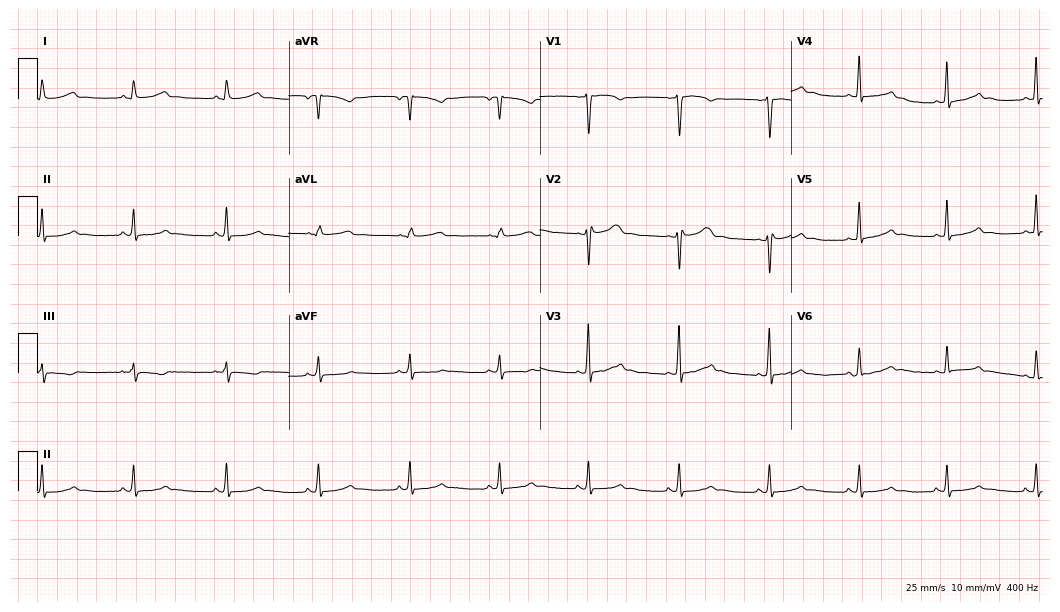
Electrocardiogram (10.2-second recording at 400 Hz), a 32-year-old female. Overall reading on record: normal ECG.